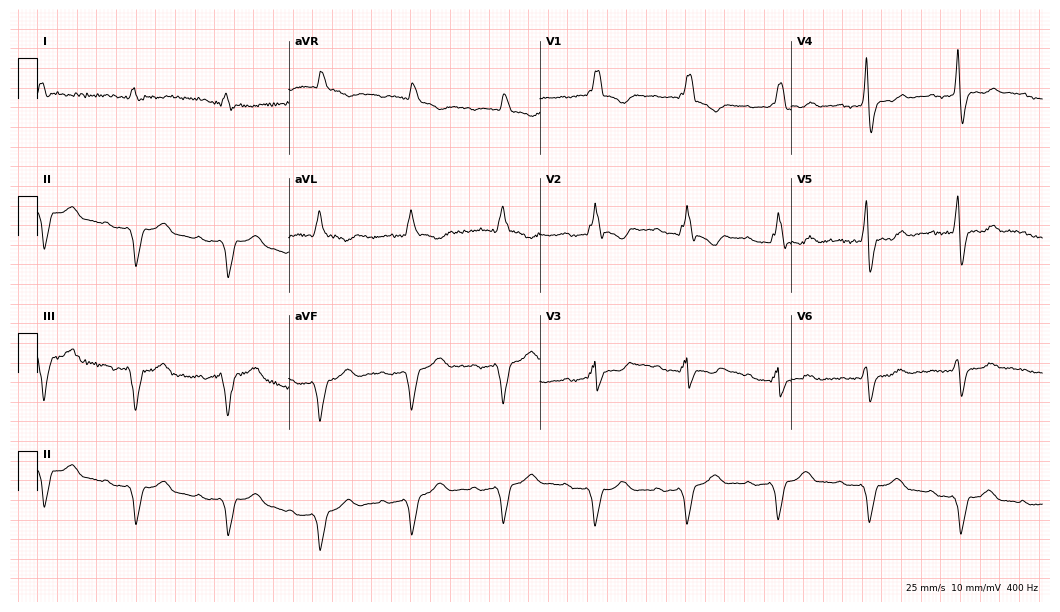
ECG (10.2-second recording at 400 Hz) — a 50-year-old male patient. Screened for six findings — first-degree AV block, right bundle branch block, left bundle branch block, sinus bradycardia, atrial fibrillation, sinus tachycardia — none is recorded.